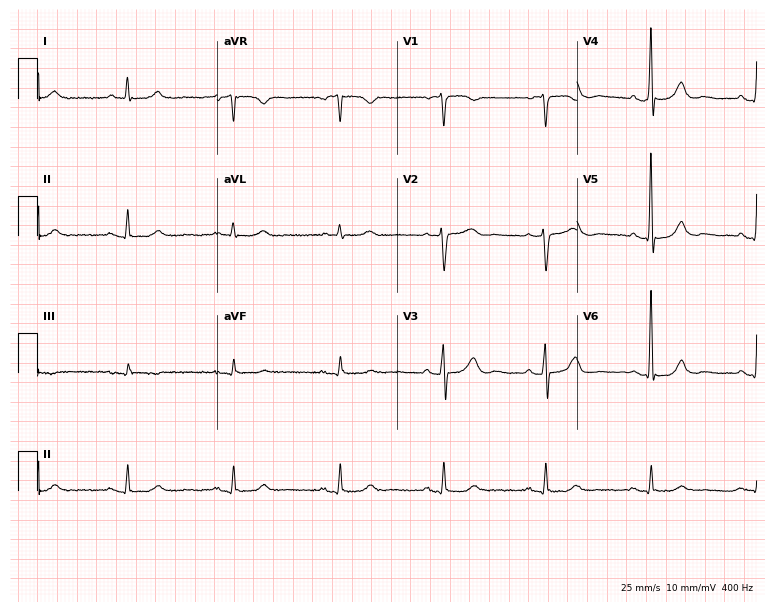
Standard 12-lead ECG recorded from a male, 80 years old (7.3-second recording at 400 Hz). None of these six findings is recorded: first-degree AV block, right bundle branch block (RBBB), left bundle branch block (LBBB), sinus bradycardia, atrial fibrillation (AF), sinus tachycardia.